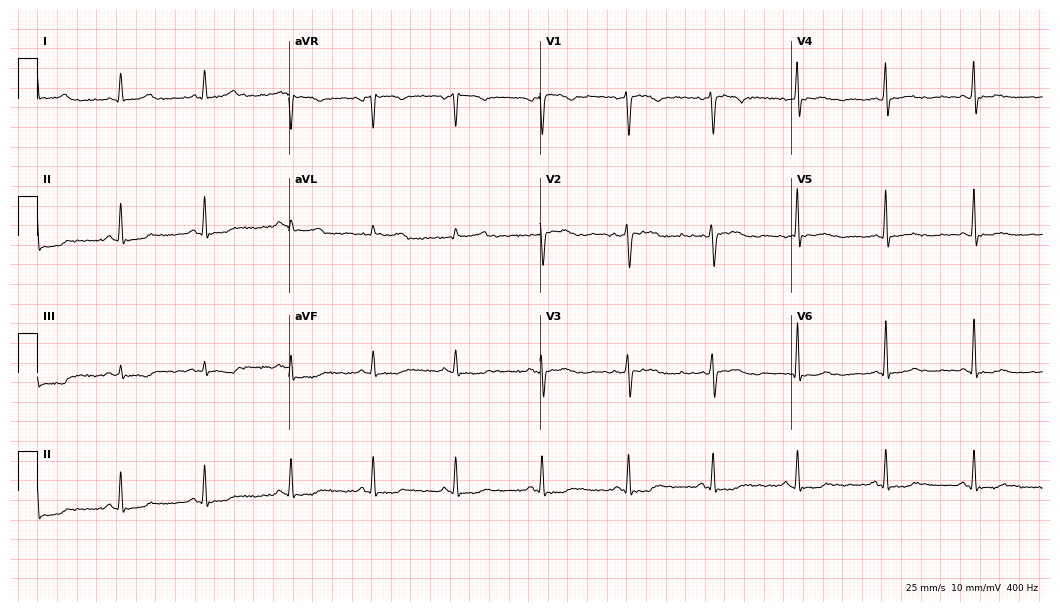
Electrocardiogram (10.2-second recording at 400 Hz), a 42-year-old female patient. Overall reading on record: normal ECG.